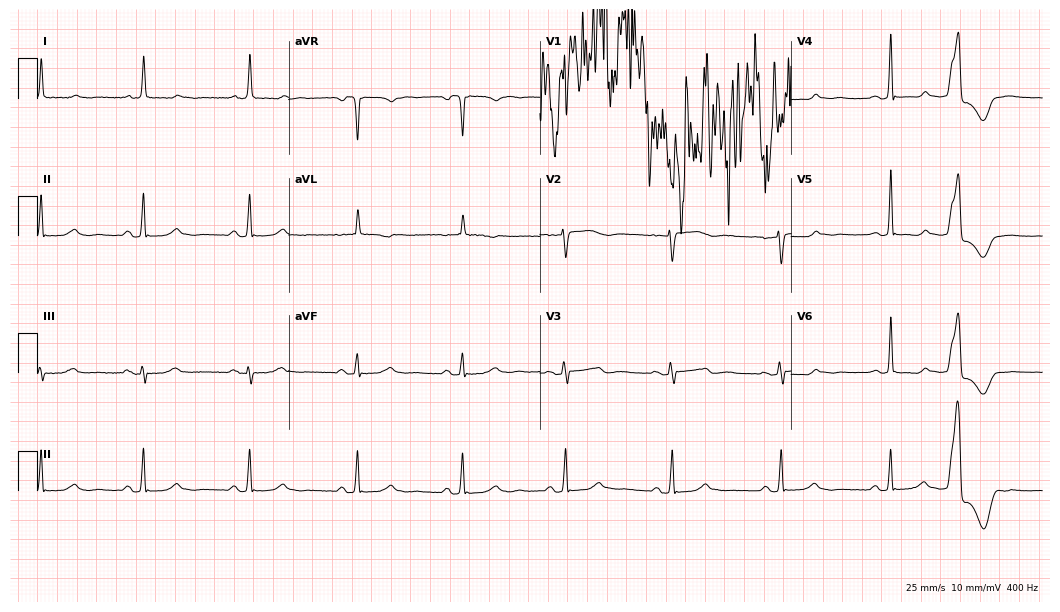
Resting 12-lead electrocardiogram (10.2-second recording at 400 Hz). Patient: a female, 58 years old. None of these six findings is recorded: first-degree AV block, right bundle branch block (RBBB), left bundle branch block (LBBB), sinus bradycardia, atrial fibrillation (AF), sinus tachycardia.